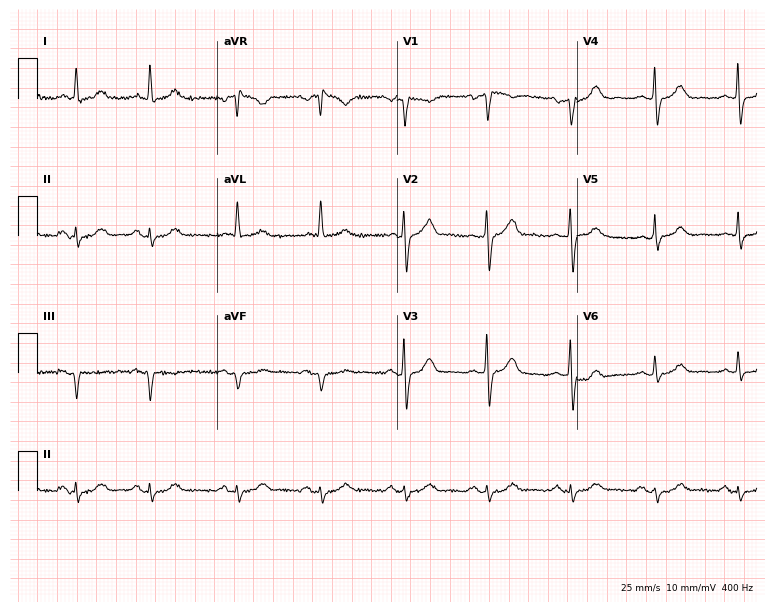
ECG (7.3-second recording at 400 Hz) — a 67-year-old male. Labelled as a normal ECG.